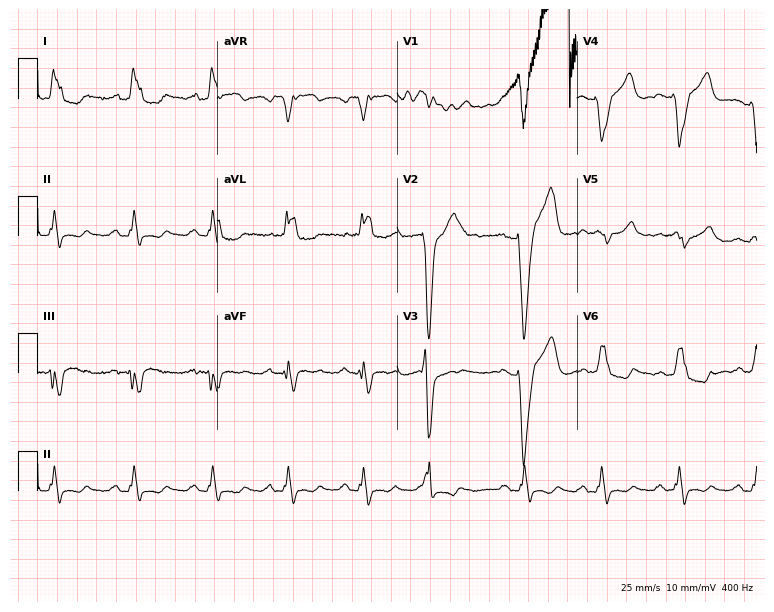
Resting 12-lead electrocardiogram. Patient: a 44-year-old female. The tracing shows left bundle branch block.